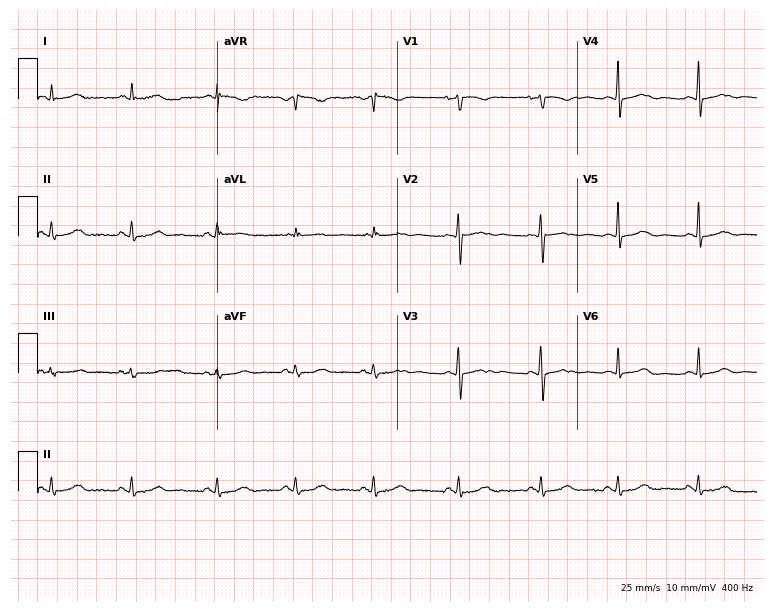
12-lead ECG from a female, 33 years old (7.3-second recording at 400 Hz). No first-degree AV block, right bundle branch block, left bundle branch block, sinus bradycardia, atrial fibrillation or sinus tachycardia recorded for this tracing.